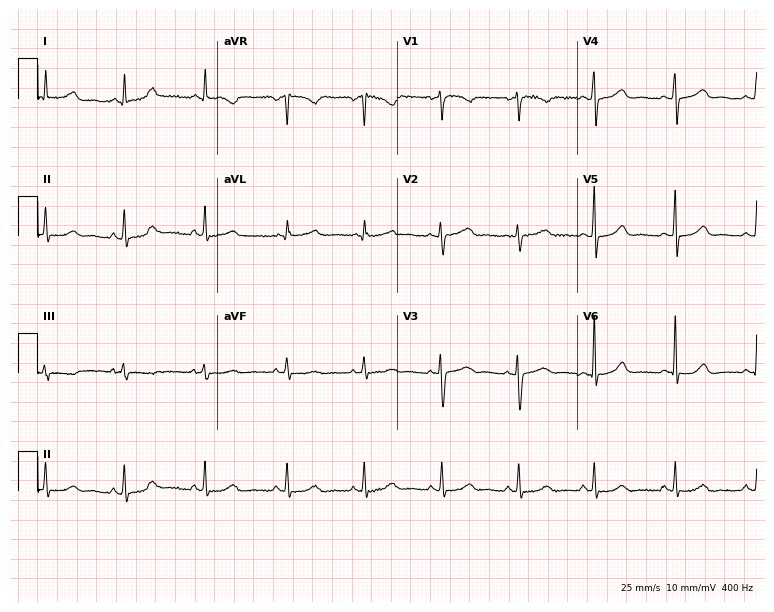
ECG — a female patient, 42 years old. Labelled as a normal ECG.